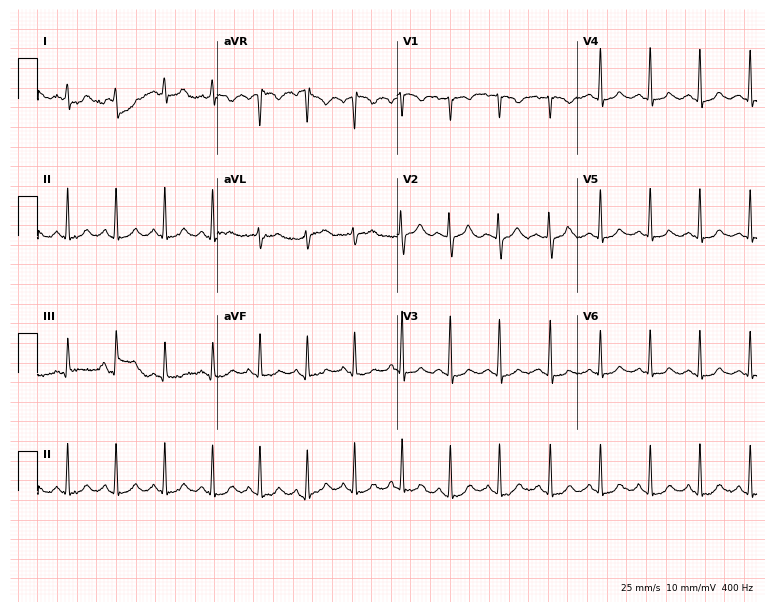
Resting 12-lead electrocardiogram. Patient: a 23-year-old woman. The tracing shows sinus tachycardia (a sinus rate of 100 beats per minute or more).